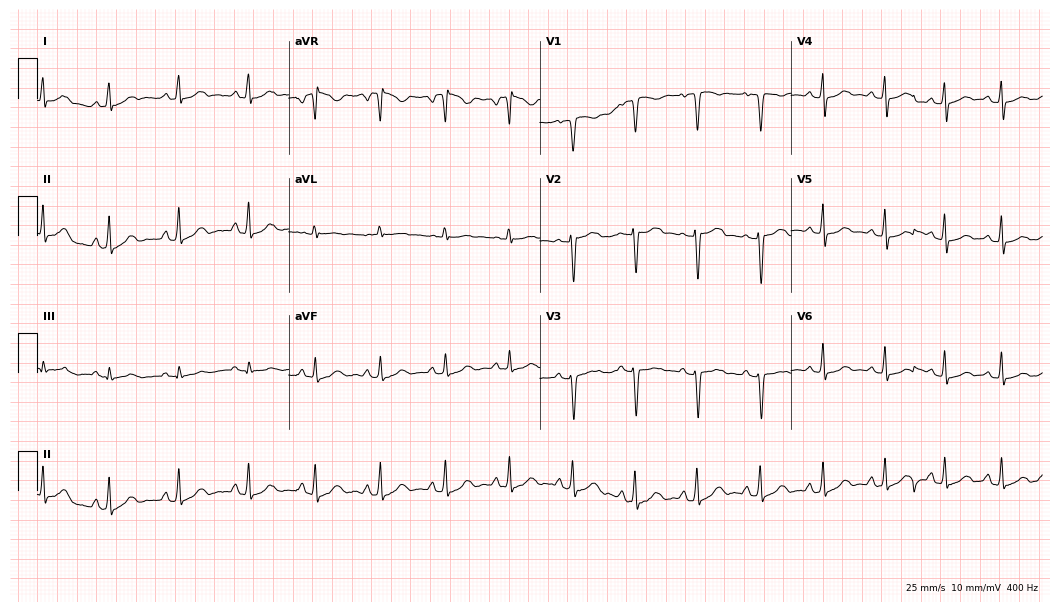
12-lead ECG (10.2-second recording at 400 Hz) from a 27-year-old woman. Labelled as a normal ECG.